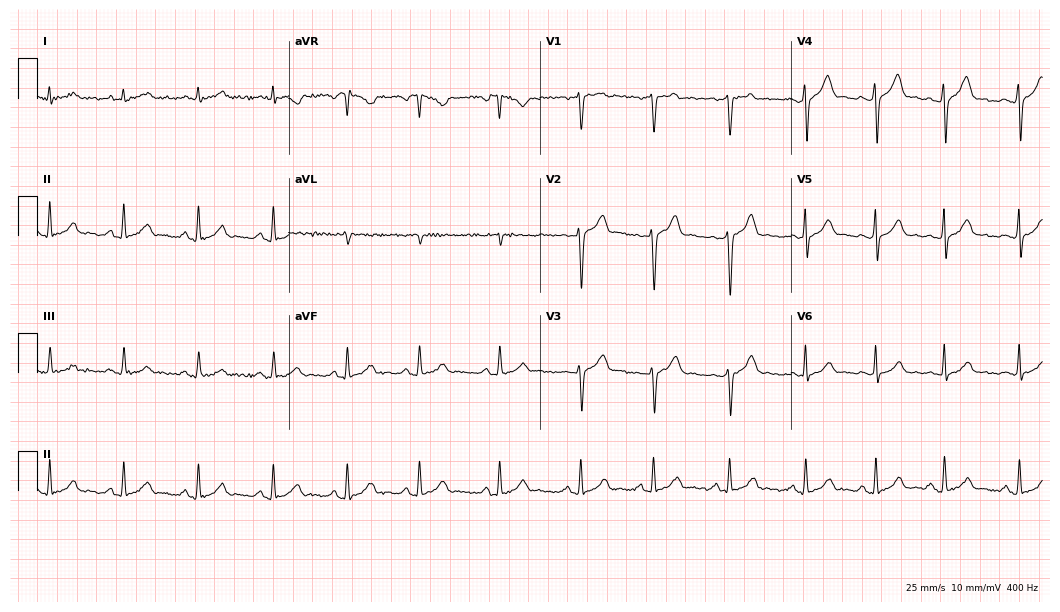
ECG — a 32-year-old male patient. Screened for six findings — first-degree AV block, right bundle branch block, left bundle branch block, sinus bradycardia, atrial fibrillation, sinus tachycardia — none is recorded. Other findings, if any, are not listed.